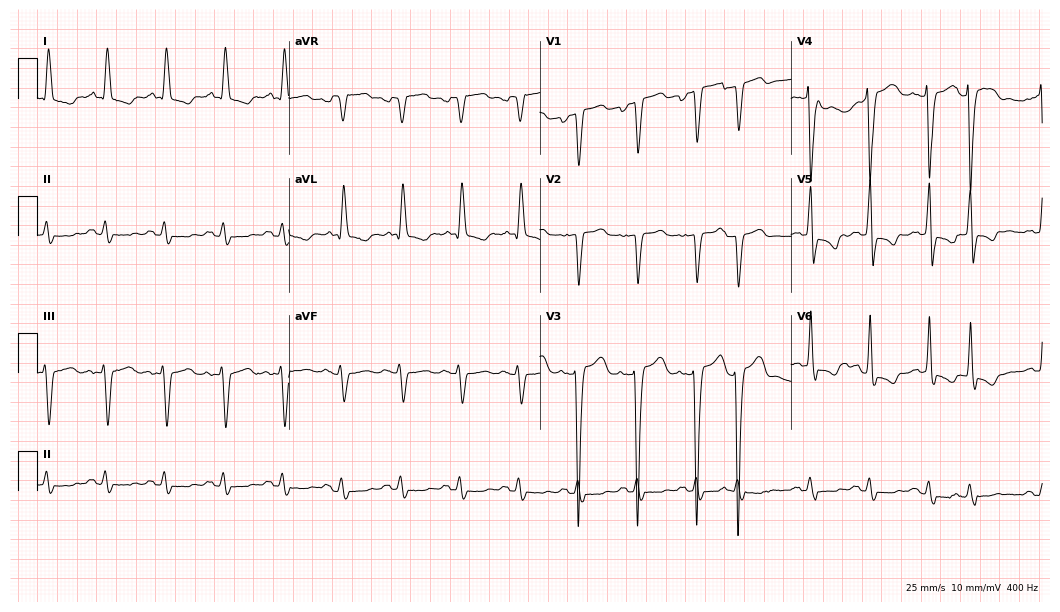
12-lead ECG from a 74-year-old man. Findings include left bundle branch block.